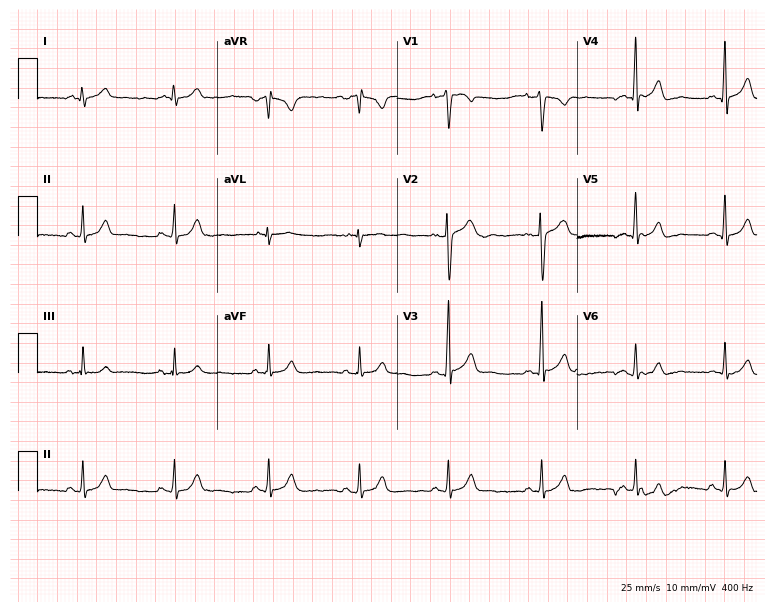
12-lead ECG from a man, 27 years old. Screened for six findings — first-degree AV block, right bundle branch block (RBBB), left bundle branch block (LBBB), sinus bradycardia, atrial fibrillation (AF), sinus tachycardia — none is recorded. Only these six findings were labelled.